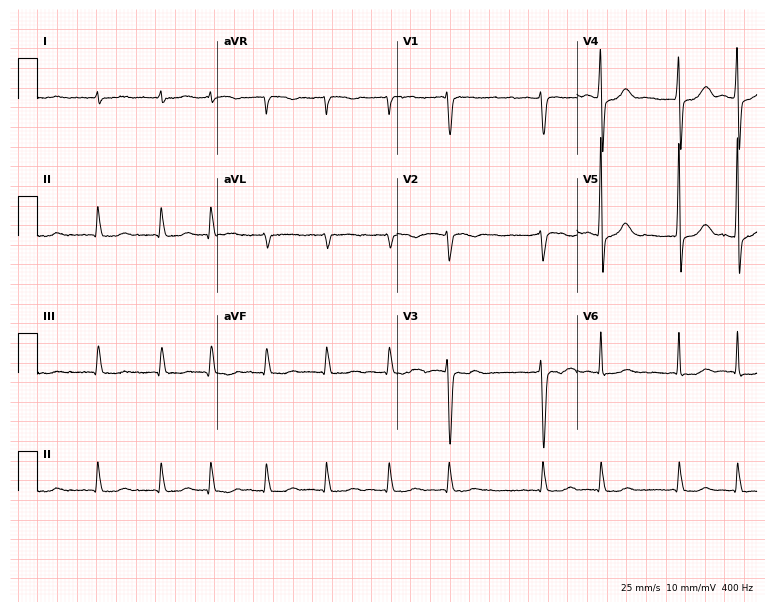
12-lead ECG from an 81-year-old woman. No first-degree AV block, right bundle branch block, left bundle branch block, sinus bradycardia, atrial fibrillation or sinus tachycardia recorded for this tracing.